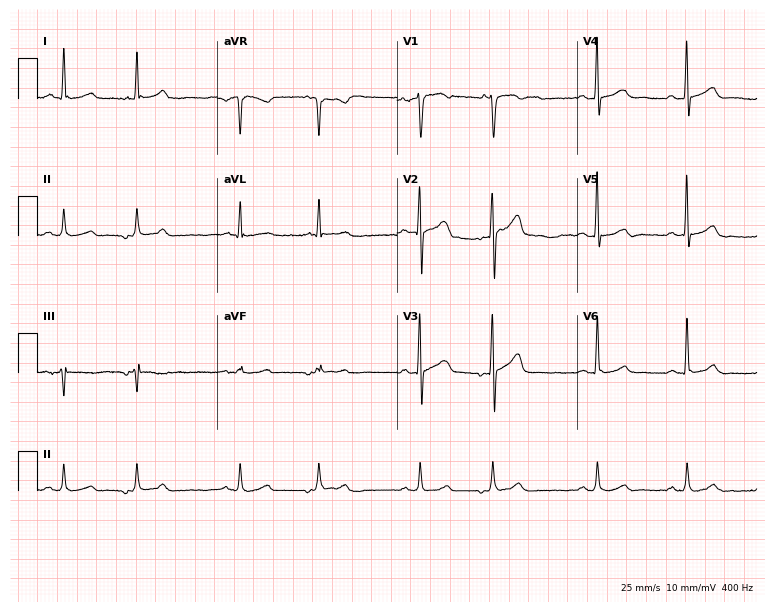
ECG (7.3-second recording at 400 Hz) — a 54-year-old man. Screened for six findings — first-degree AV block, right bundle branch block (RBBB), left bundle branch block (LBBB), sinus bradycardia, atrial fibrillation (AF), sinus tachycardia — none is recorded.